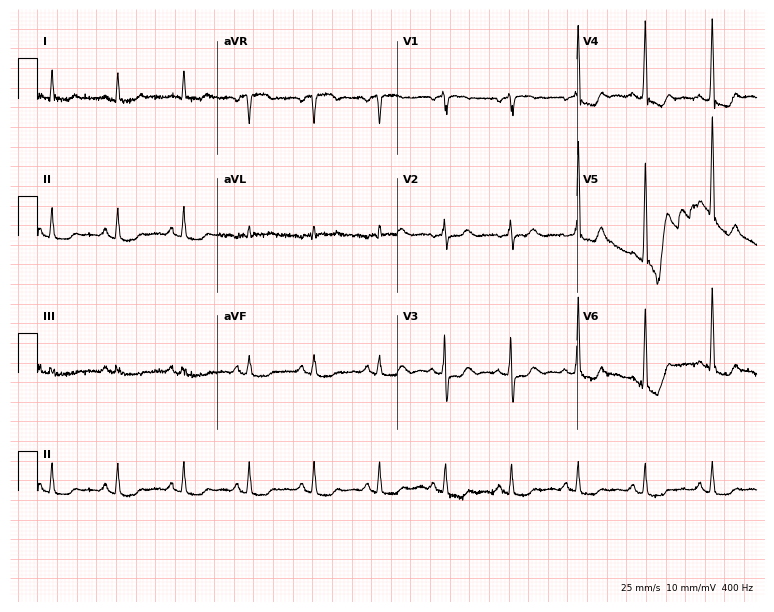
12-lead ECG from a 79-year-old female patient. No first-degree AV block, right bundle branch block (RBBB), left bundle branch block (LBBB), sinus bradycardia, atrial fibrillation (AF) or sinus tachycardia recorded for this tracing.